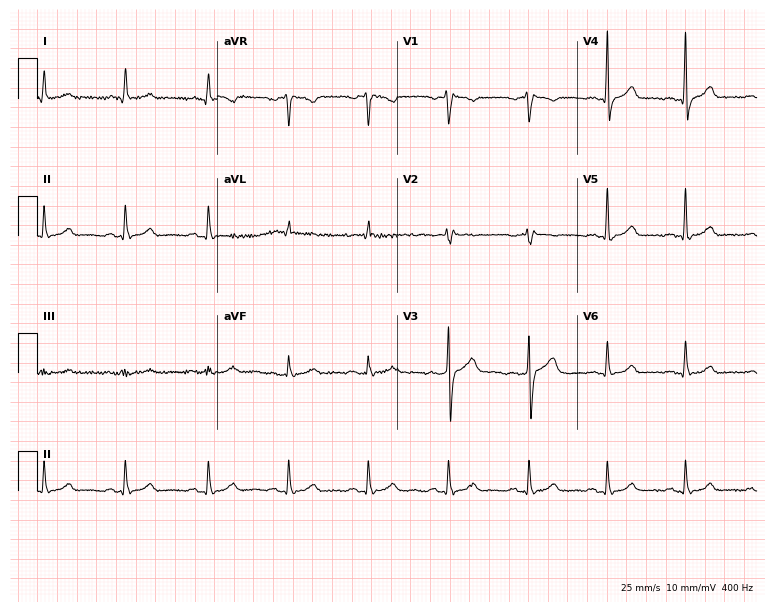
12-lead ECG from a 61-year-old man (7.3-second recording at 400 Hz). Recorded interpretation: within normal limits.